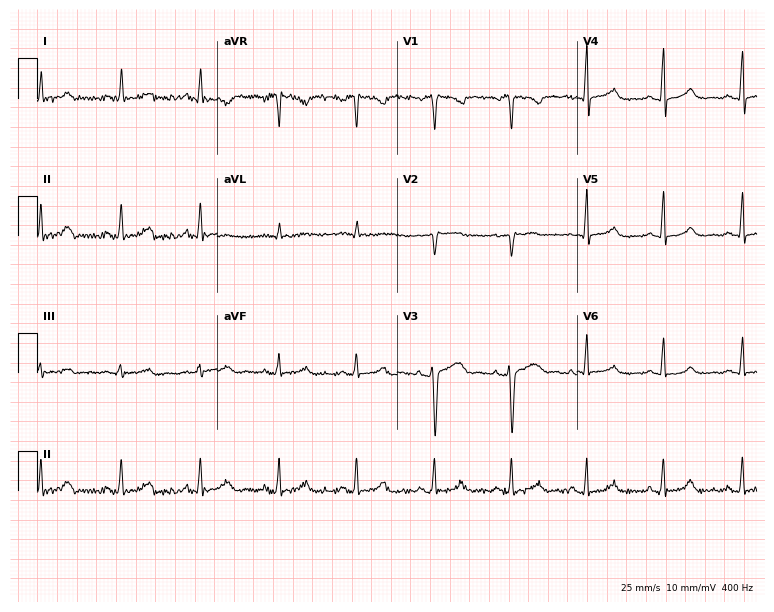
12-lead ECG from a 45-year-old woman. Labelled as a normal ECG.